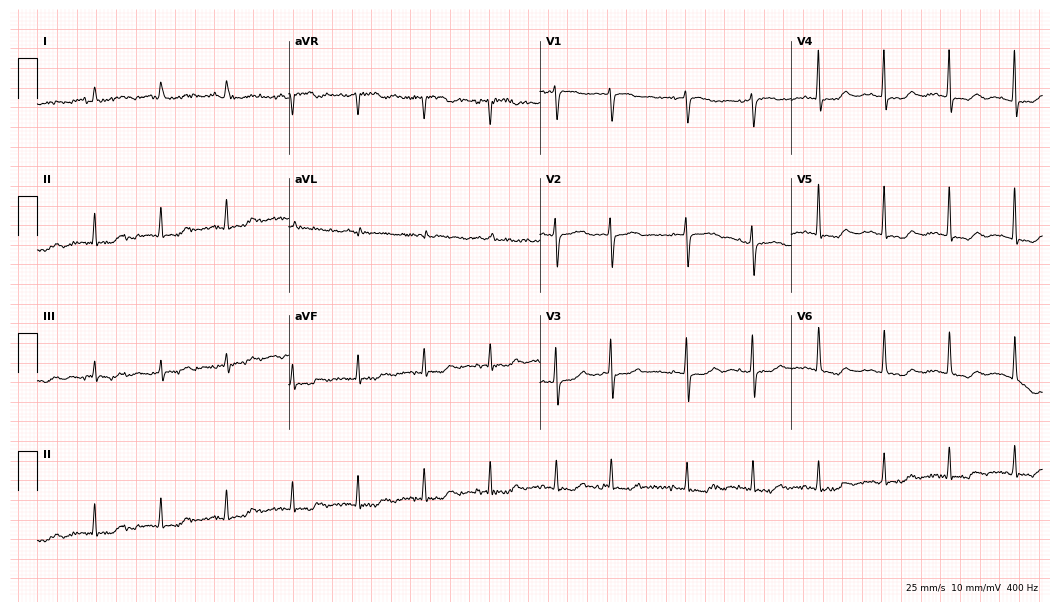
12-lead ECG from a 78-year-old female patient. No first-degree AV block, right bundle branch block, left bundle branch block, sinus bradycardia, atrial fibrillation or sinus tachycardia recorded for this tracing.